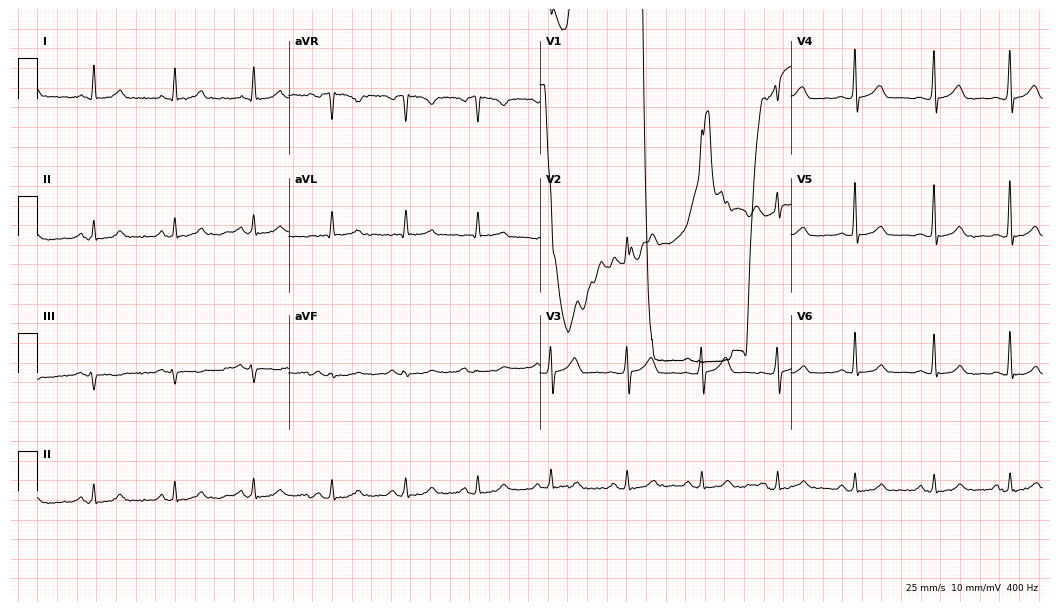
12-lead ECG from a man, 77 years old. Recorded interpretation: within normal limits.